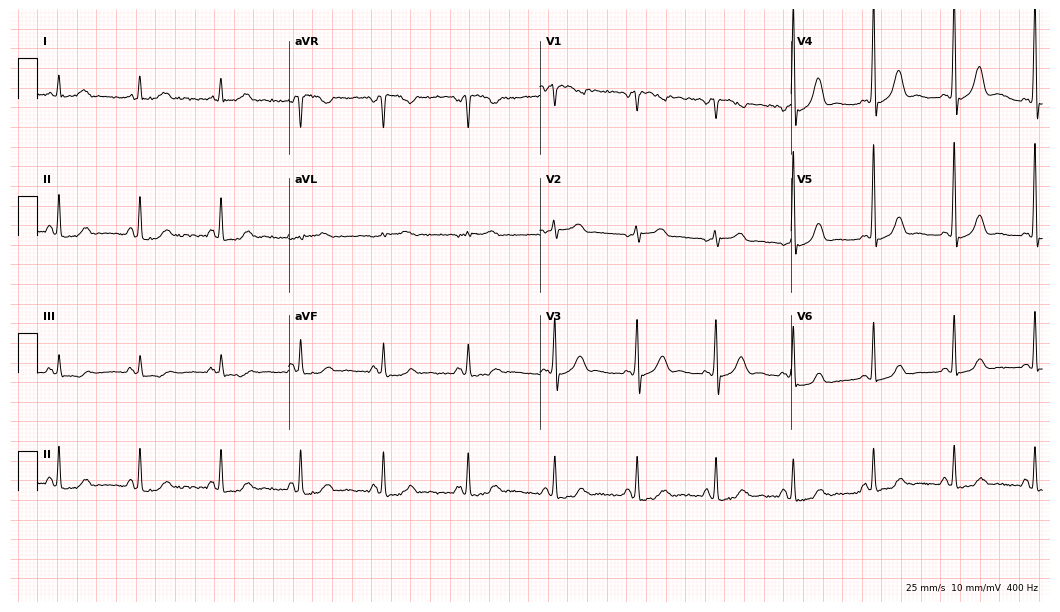
Standard 12-lead ECG recorded from a female patient, 57 years old (10.2-second recording at 400 Hz). Read as a normal ECG.